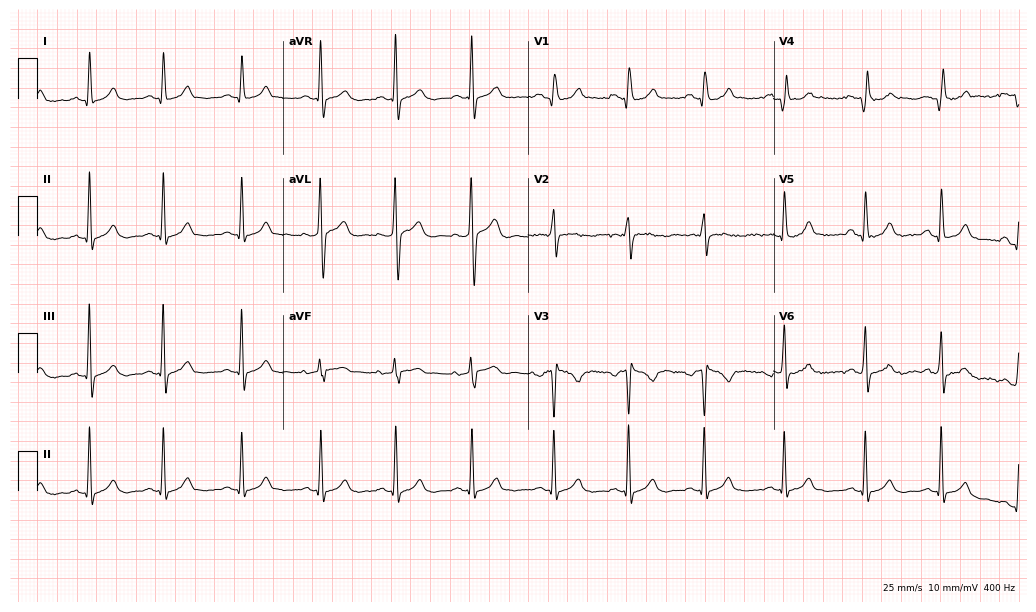
Electrocardiogram, a female patient, 28 years old. Of the six screened findings (first-degree AV block, right bundle branch block (RBBB), left bundle branch block (LBBB), sinus bradycardia, atrial fibrillation (AF), sinus tachycardia), none is recorded. Only these six findings were labelled.